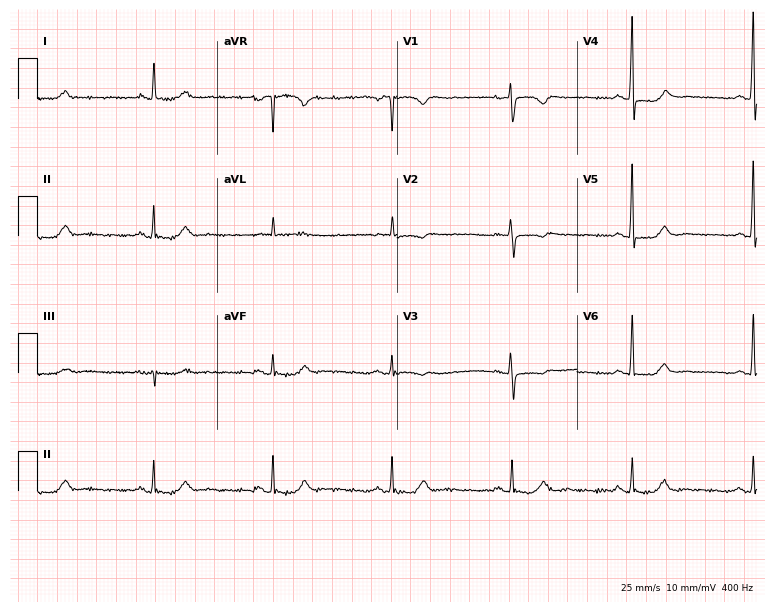
Electrocardiogram, an 80-year-old female. Of the six screened findings (first-degree AV block, right bundle branch block, left bundle branch block, sinus bradycardia, atrial fibrillation, sinus tachycardia), none is recorded. Findings outside these six are not listed.